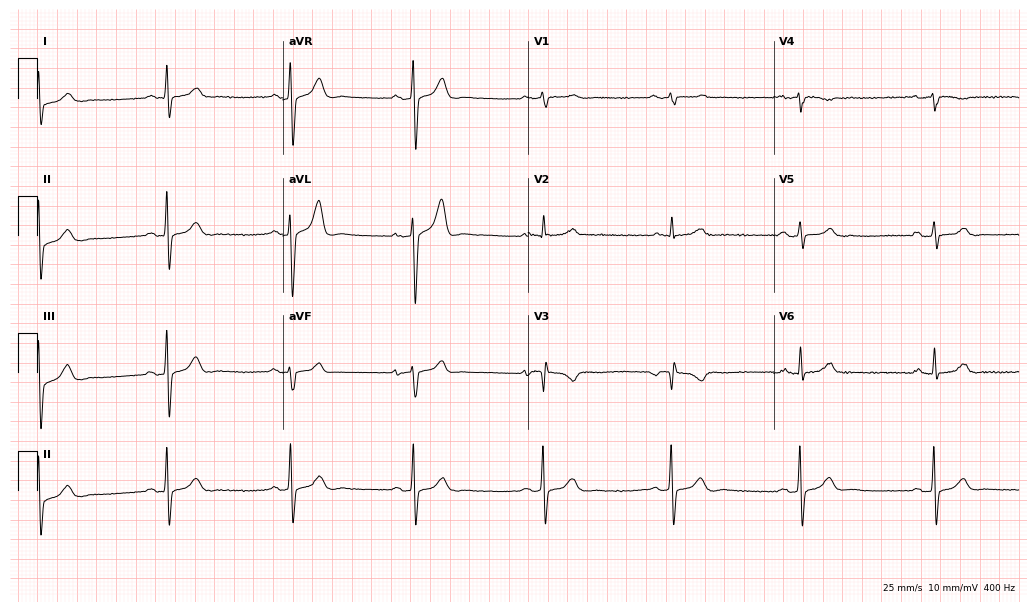
12-lead ECG from a male, 61 years old (10-second recording at 400 Hz). Shows sinus bradycardia (a sinus rate of 50 beats per minute or less).